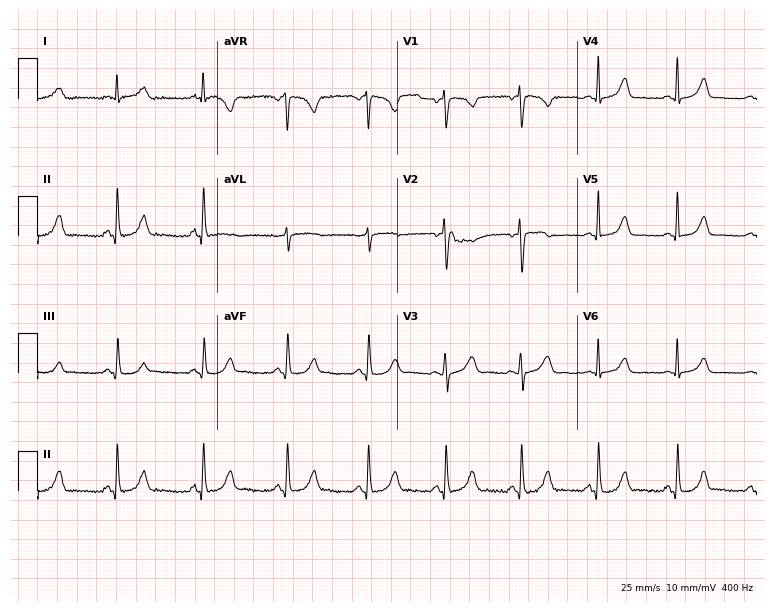
Electrocardiogram (7.3-second recording at 400 Hz), a 36-year-old woman. Of the six screened findings (first-degree AV block, right bundle branch block, left bundle branch block, sinus bradycardia, atrial fibrillation, sinus tachycardia), none is recorded.